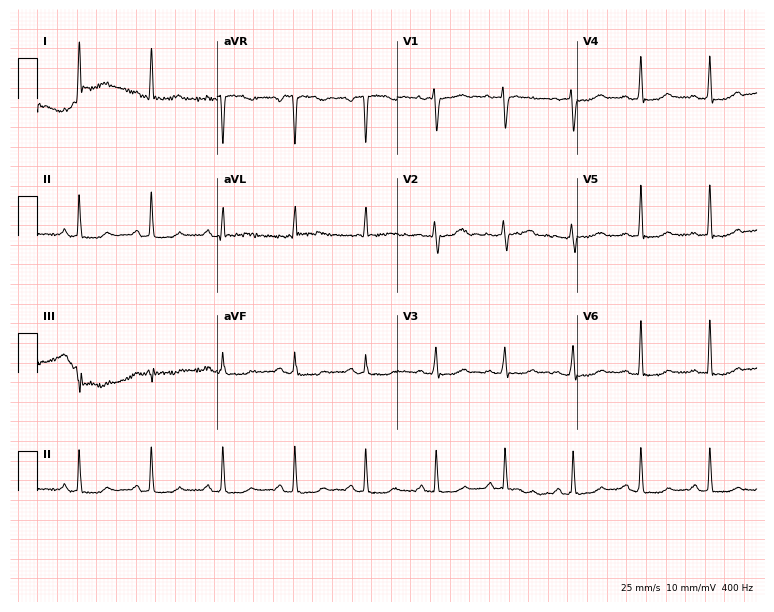
ECG — a female, 39 years old. Labelled as a normal ECG.